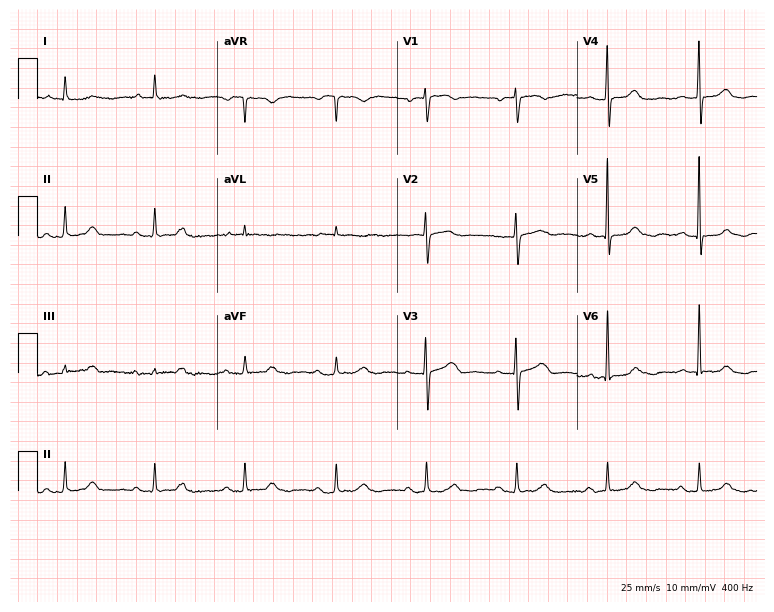
Electrocardiogram, an 82-year-old woman. Of the six screened findings (first-degree AV block, right bundle branch block (RBBB), left bundle branch block (LBBB), sinus bradycardia, atrial fibrillation (AF), sinus tachycardia), none is recorded.